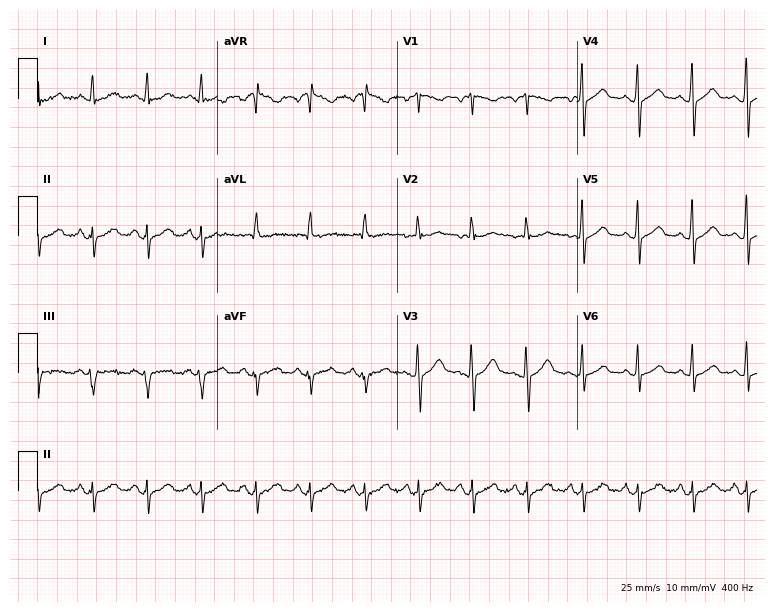
Resting 12-lead electrocardiogram. Patient: a female, 55 years old. The tracing shows sinus tachycardia (a sinus rate of 100 beats per minute or more).